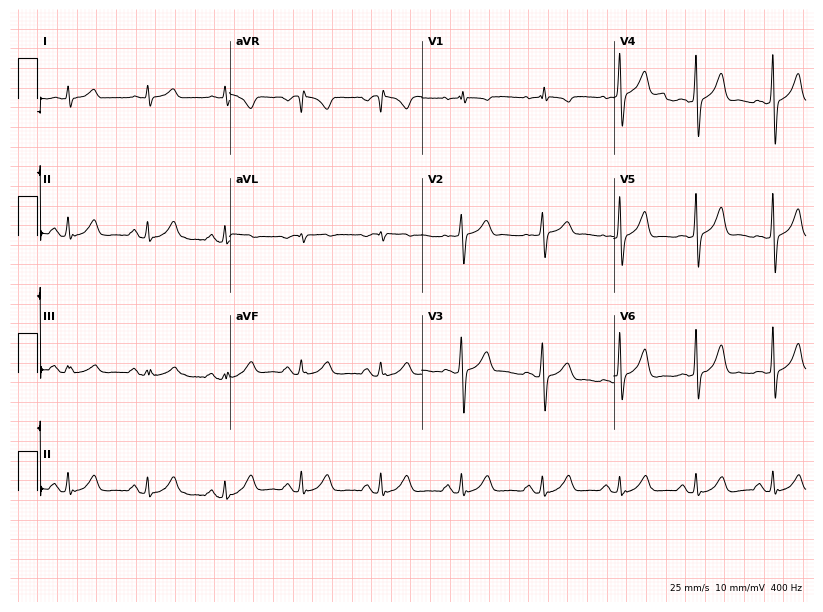
ECG (7.8-second recording at 400 Hz) — a male patient, 63 years old. Screened for six findings — first-degree AV block, right bundle branch block, left bundle branch block, sinus bradycardia, atrial fibrillation, sinus tachycardia — none is recorded.